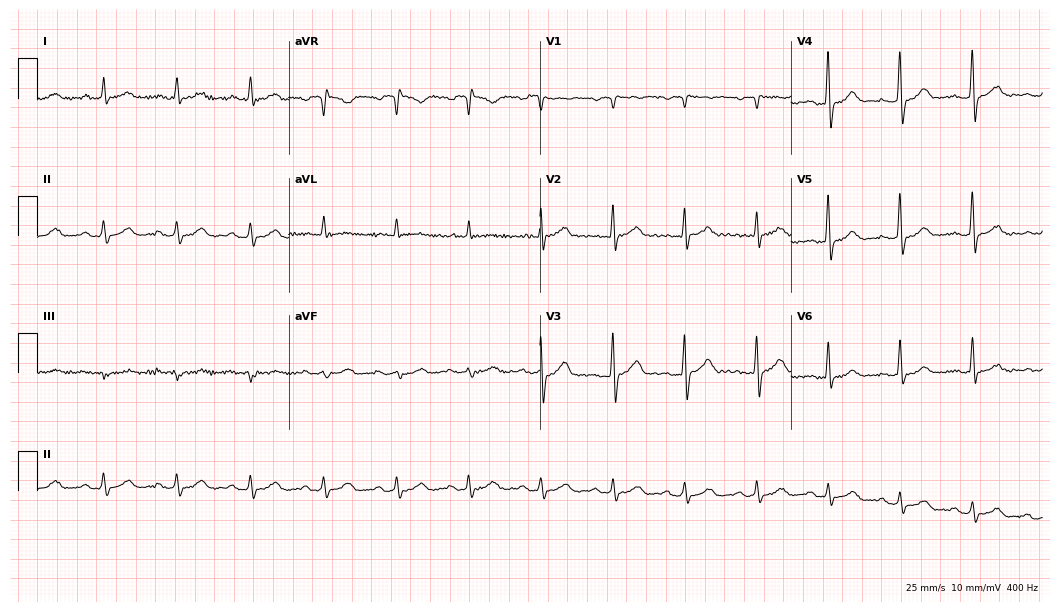
Resting 12-lead electrocardiogram. Patient: a 69-year-old male. Read as a normal ECG.